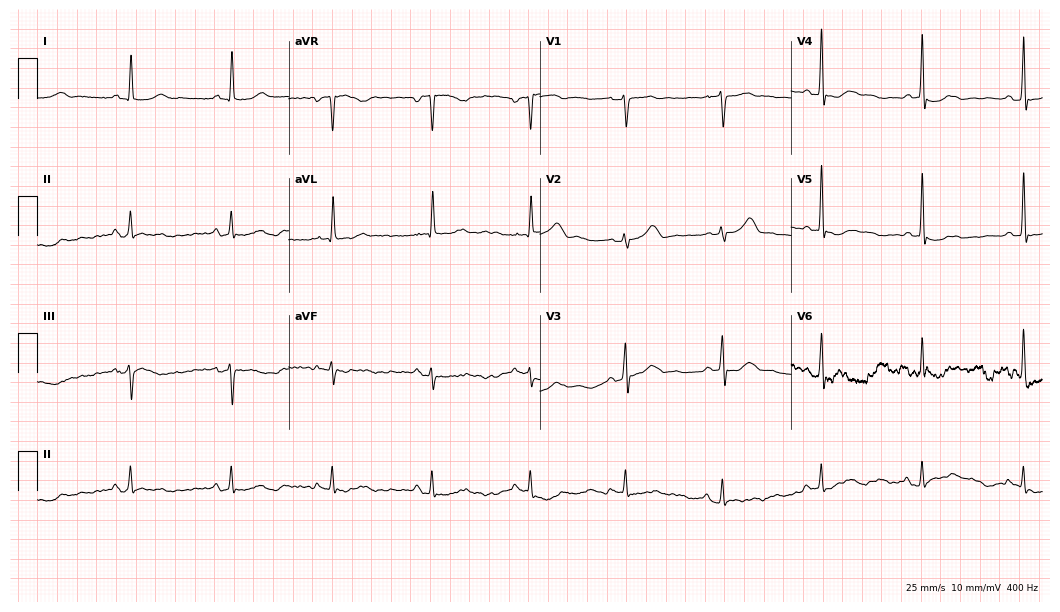
12-lead ECG (10.2-second recording at 400 Hz) from a man, 64 years old. Screened for six findings — first-degree AV block, right bundle branch block, left bundle branch block, sinus bradycardia, atrial fibrillation, sinus tachycardia — none is recorded.